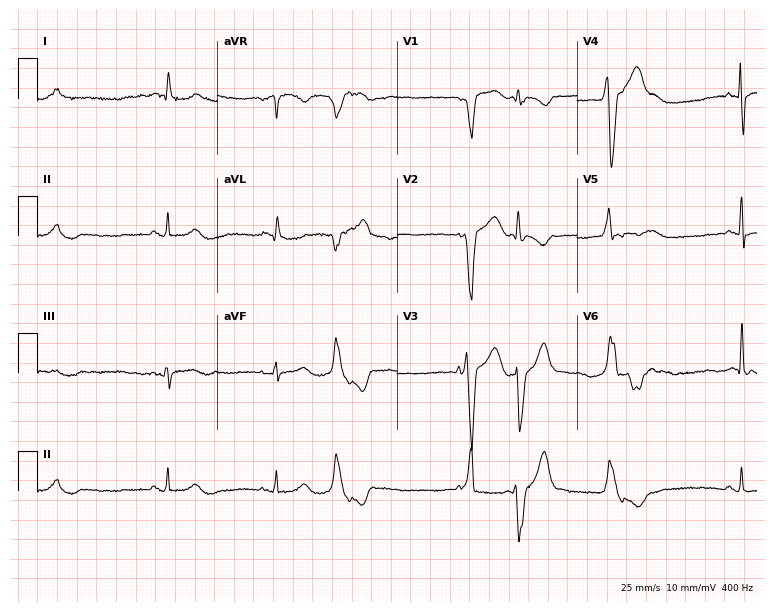
12-lead ECG from a 63-year-old female patient. No first-degree AV block, right bundle branch block, left bundle branch block, sinus bradycardia, atrial fibrillation or sinus tachycardia recorded for this tracing. Findings outside these six are not listed.